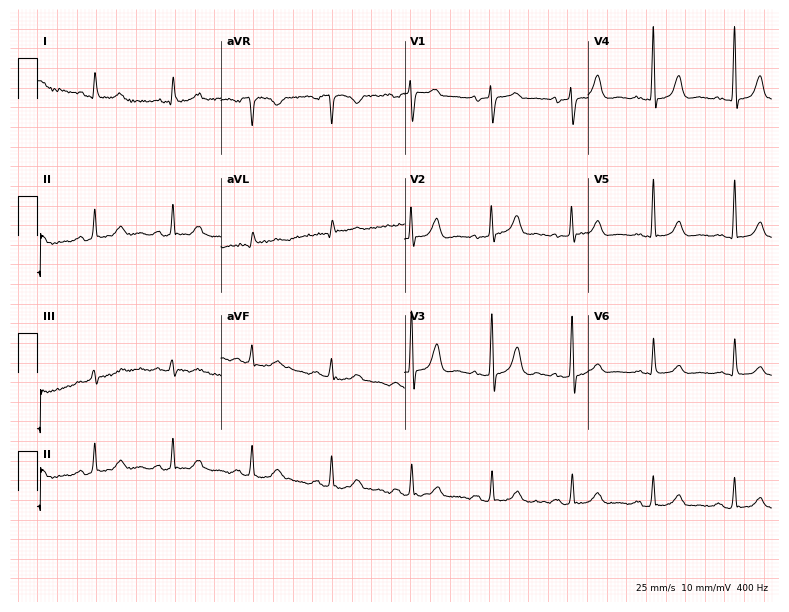
Resting 12-lead electrocardiogram. Patient: an 85-year-old man. Read as a normal ECG.